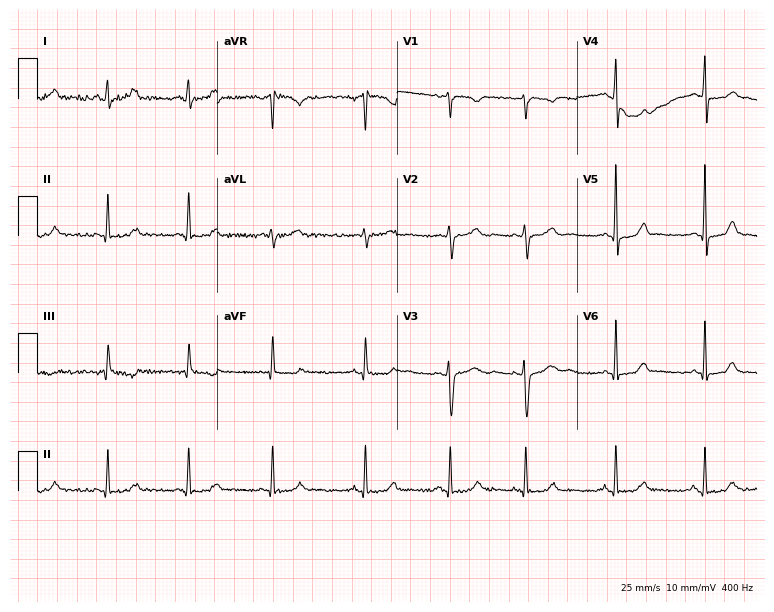
Standard 12-lead ECG recorded from a female patient, 18 years old. Read as a normal ECG.